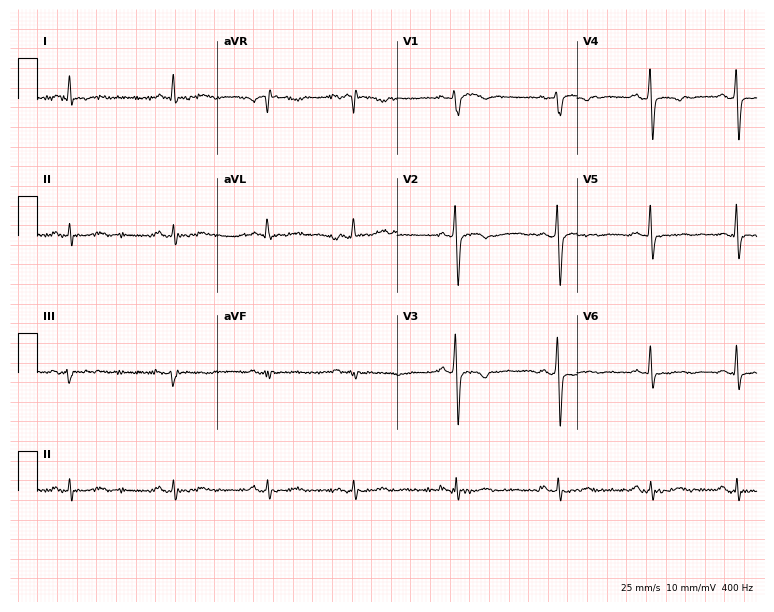
Standard 12-lead ECG recorded from a 72-year-old man. None of these six findings is recorded: first-degree AV block, right bundle branch block, left bundle branch block, sinus bradycardia, atrial fibrillation, sinus tachycardia.